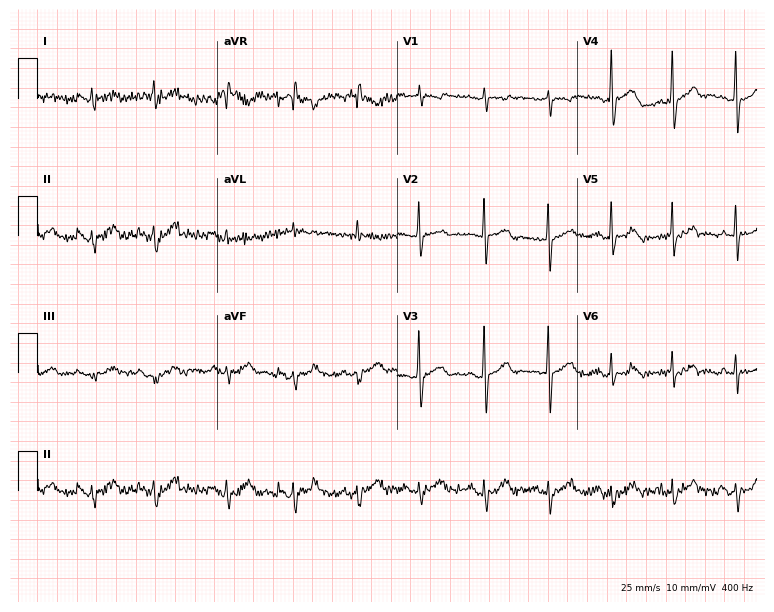
Electrocardiogram, a male patient, 57 years old. Of the six screened findings (first-degree AV block, right bundle branch block, left bundle branch block, sinus bradycardia, atrial fibrillation, sinus tachycardia), none is recorded. Only these six findings were labelled.